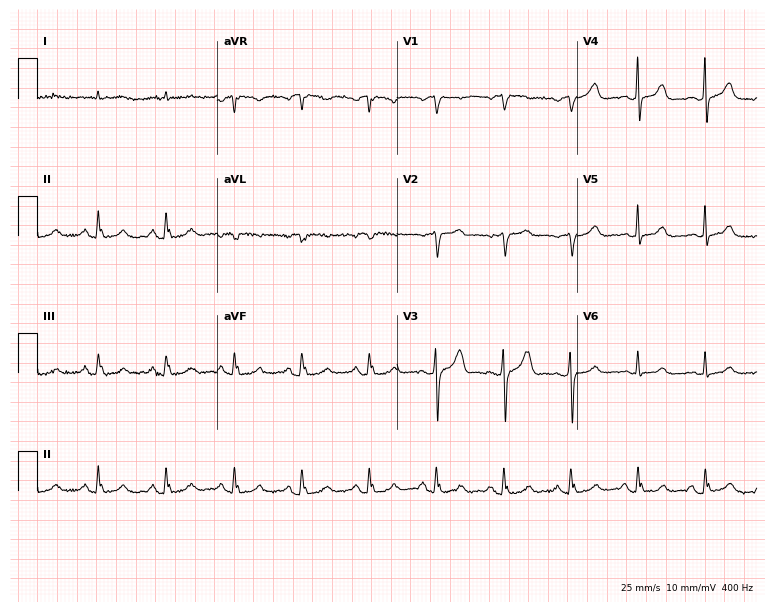
Standard 12-lead ECG recorded from a man, 72 years old. None of these six findings is recorded: first-degree AV block, right bundle branch block, left bundle branch block, sinus bradycardia, atrial fibrillation, sinus tachycardia. Other findings, if any, are not listed.